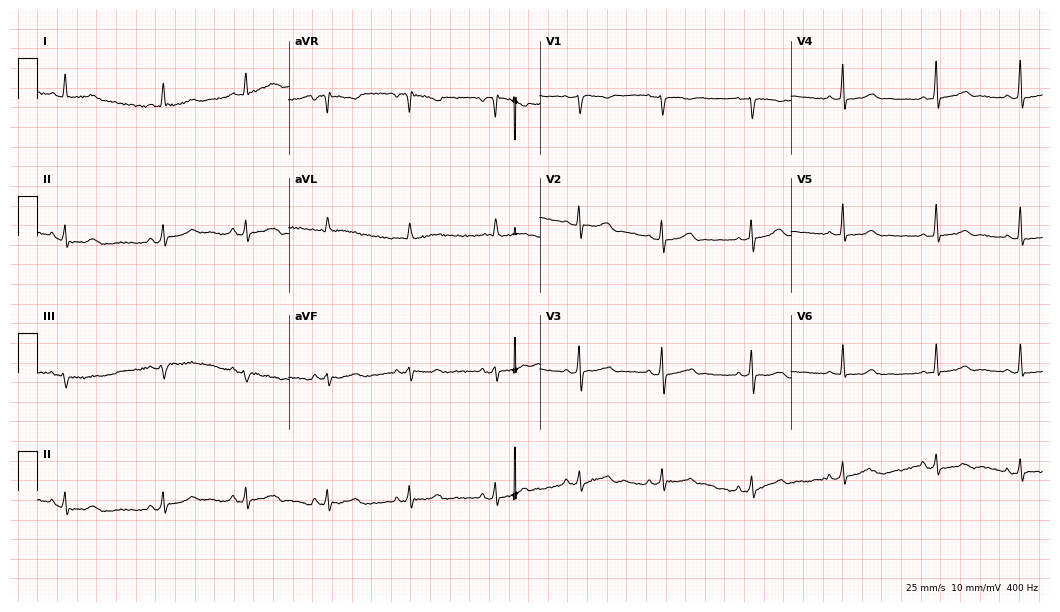
ECG (10.2-second recording at 400 Hz) — a 31-year-old female patient. Screened for six findings — first-degree AV block, right bundle branch block, left bundle branch block, sinus bradycardia, atrial fibrillation, sinus tachycardia — none is recorded. Findings outside these six are not listed.